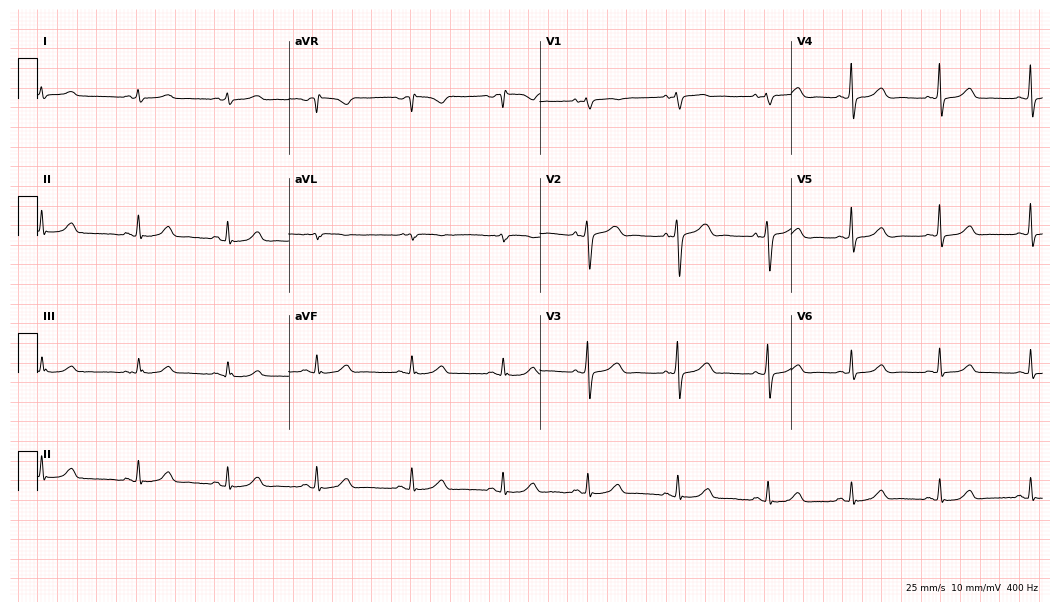
ECG — a 39-year-old female. Labelled as a normal ECG.